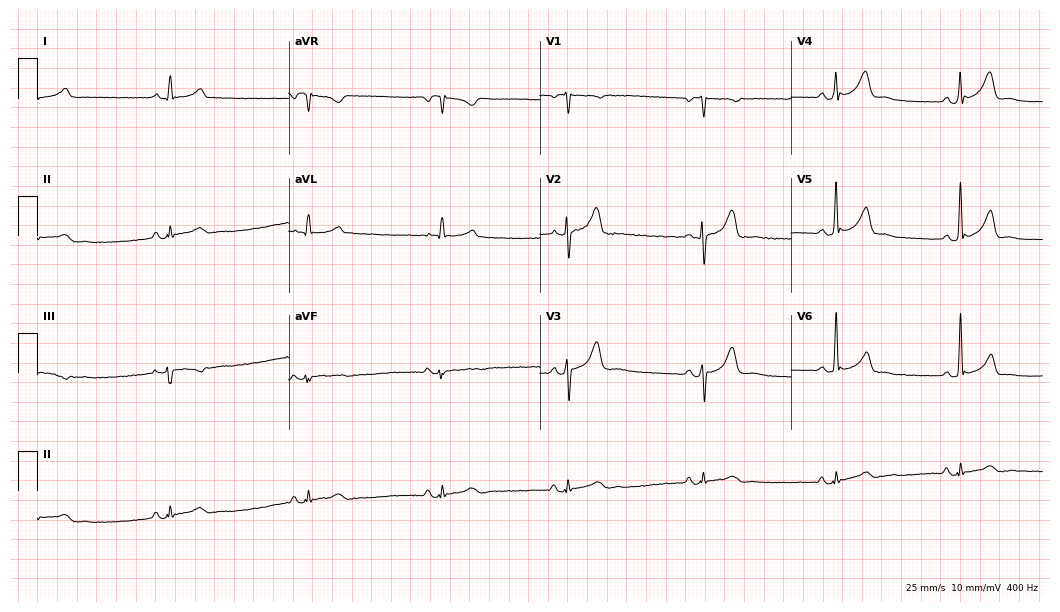
Resting 12-lead electrocardiogram (10.2-second recording at 400 Hz). Patient: a 32-year-old male. None of these six findings is recorded: first-degree AV block, right bundle branch block, left bundle branch block, sinus bradycardia, atrial fibrillation, sinus tachycardia. Other findings, if any, are not listed.